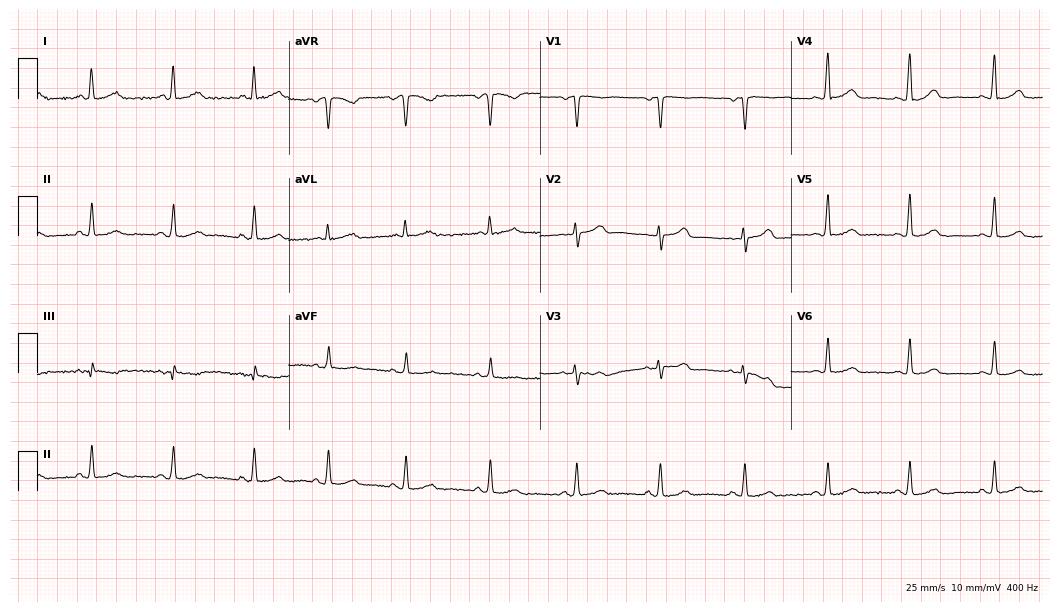
12-lead ECG from a 64-year-old female. Recorded interpretation: within normal limits.